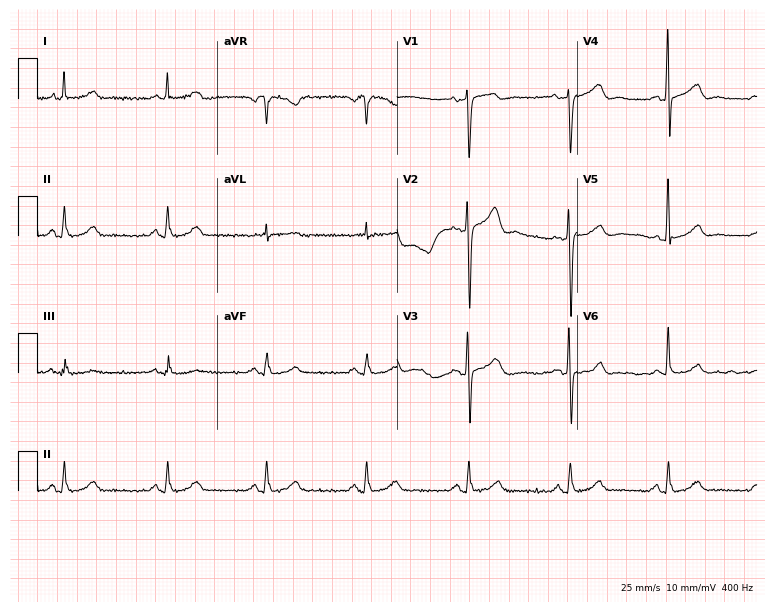
Electrocardiogram (7.3-second recording at 400 Hz), a male, 50 years old. Of the six screened findings (first-degree AV block, right bundle branch block (RBBB), left bundle branch block (LBBB), sinus bradycardia, atrial fibrillation (AF), sinus tachycardia), none is recorded. Only these six findings were labelled.